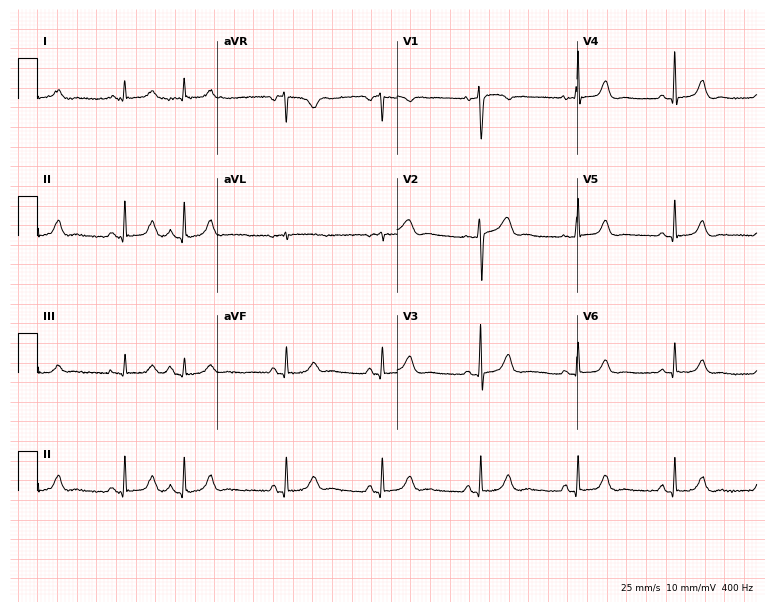
12-lead ECG from a woman, 65 years old (7.3-second recording at 400 Hz). No first-degree AV block, right bundle branch block, left bundle branch block, sinus bradycardia, atrial fibrillation or sinus tachycardia recorded for this tracing. Other findings, if any, are not listed.